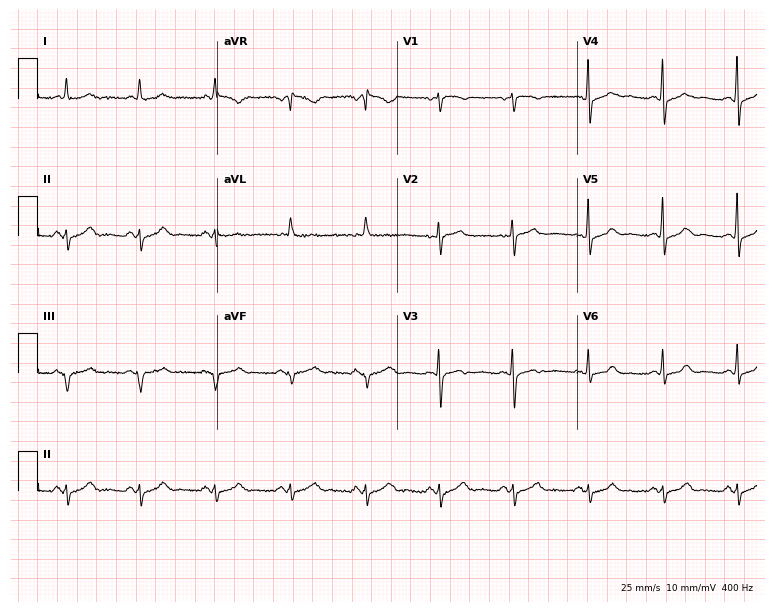
12-lead ECG from a female patient, 76 years old (7.3-second recording at 400 Hz). No first-degree AV block, right bundle branch block, left bundle branch block, sinus bradycardia, atrial fibrillation or sinus tachycardia recorded for this tracing. Findings outside these six are not listed.